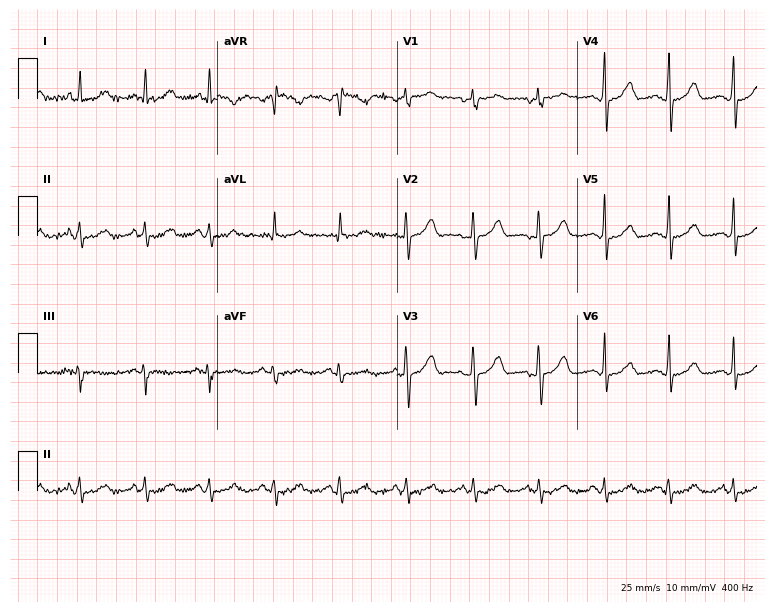
Resting 12-lead electrocardiogram. Patient: a 39-year-old female. Read as a normal ECG.